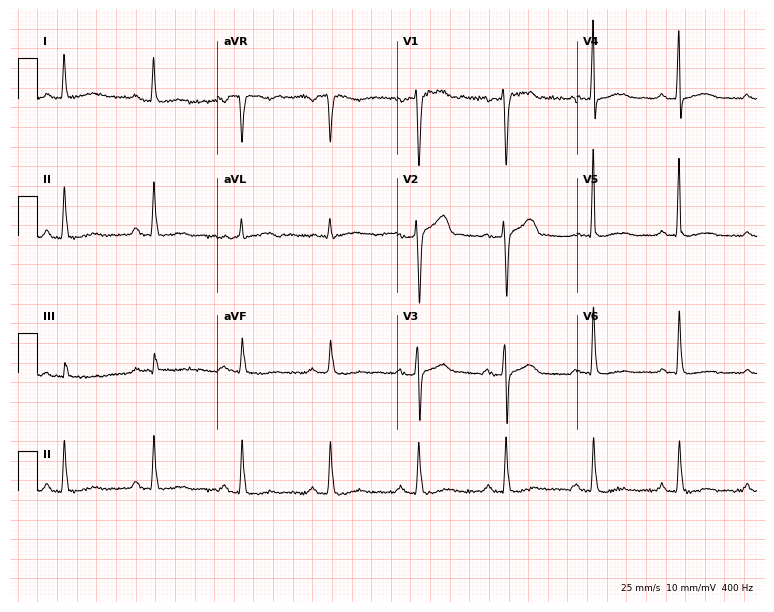
Standard 12-lead ECG recorded from a man, 54 years old (7.3-second recording at 400 Hz). None of these six findings is recorded: first-degree AV block, right bundle branch block, left bundle branch block, sinus bradycardia, atrial fibrillation, sinus tachycardia. Other findings, if any, are not listed.